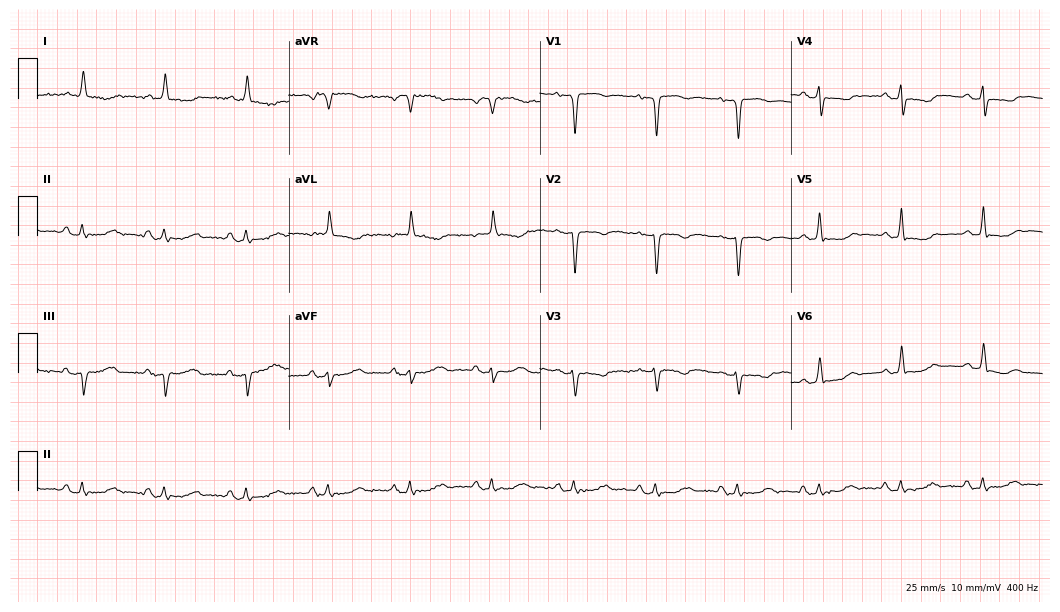
12-lead ECG from an 81-year-old female patient. No first-degree AV block, right bundle branch block (RBBB), left bundle branch block (LBBB), sinus bradycardia, atrial fibrillation (AF) or sinus tachycardia recorded for this tracing. Other findings, if any, are not listed.